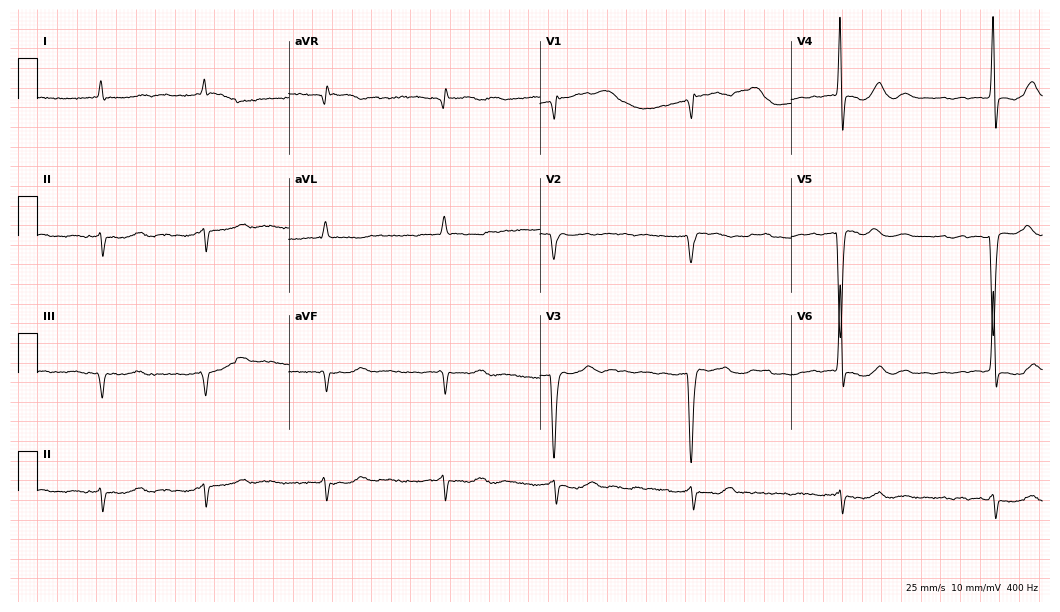
12-lead ECG from a male patient, 85 years old. No first-degree AV block, right bundle branch block (RBBB), left bundle branch block (LBBB), sinus bradycardia, atrial fibrillation (AF) or sinus tachycardia recorded for this tracing. Only these six findings were labelled.